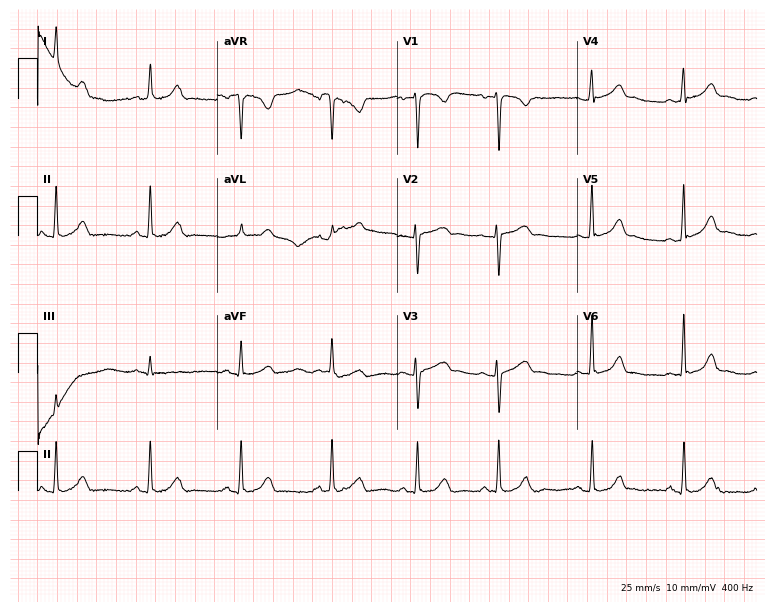
Resting 12-lead electrocardiogram (7.3-second recording at 400 Hz). Patient: a woman, 32 years old. Read as a normal ECG.